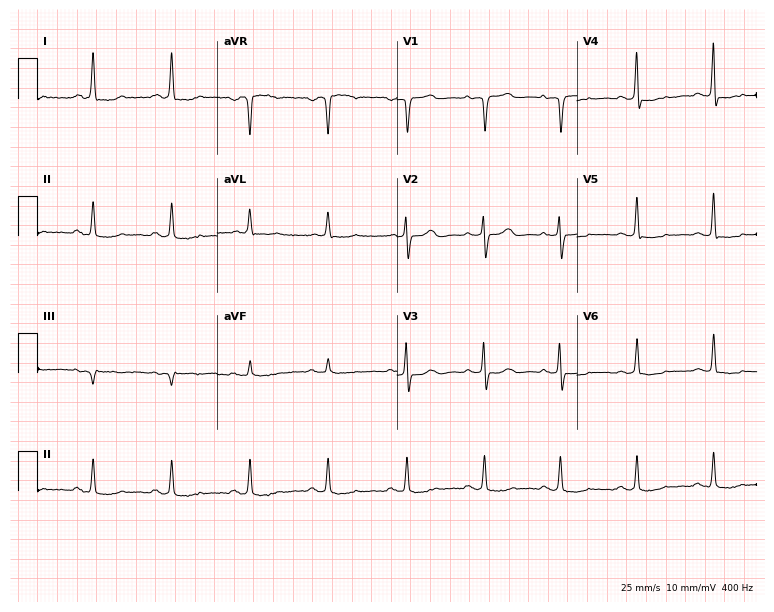
12-lead ECG (7.3-second recording at 400 Hz) from a 65-year-old woman. Screened for six findings — first-degree AV block, right bundle branch block, left bundle branch block, sinus bradycardia, atrial fibrillation, sinus tachycardia — none is recorded.